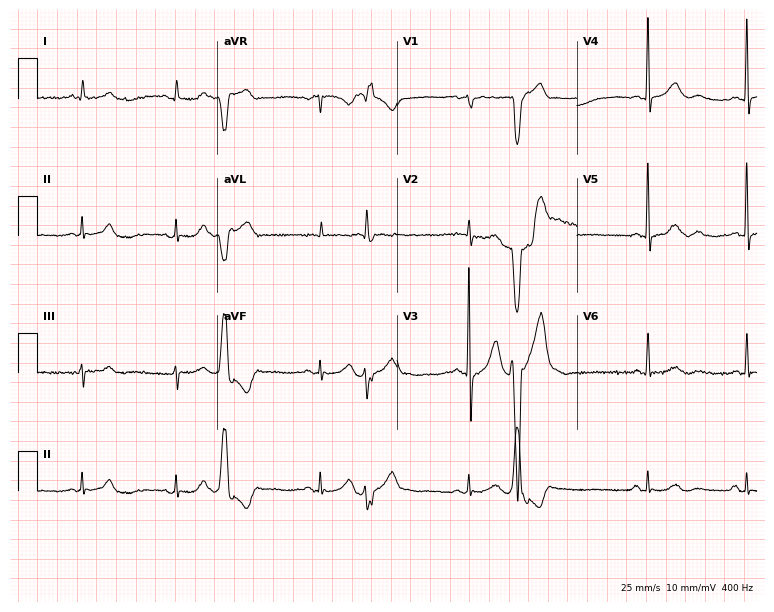
Standard 12-lead ECG recorded from a man, 69 years old (7.3-second recording at 400 Hz). None of these six findings is recorded: first-degree AV block, right bundle branch block, left bundle branch block, sinus bradycardia, atrial fibrillation, sinus tachycardia. Findings outside these six are not listed.